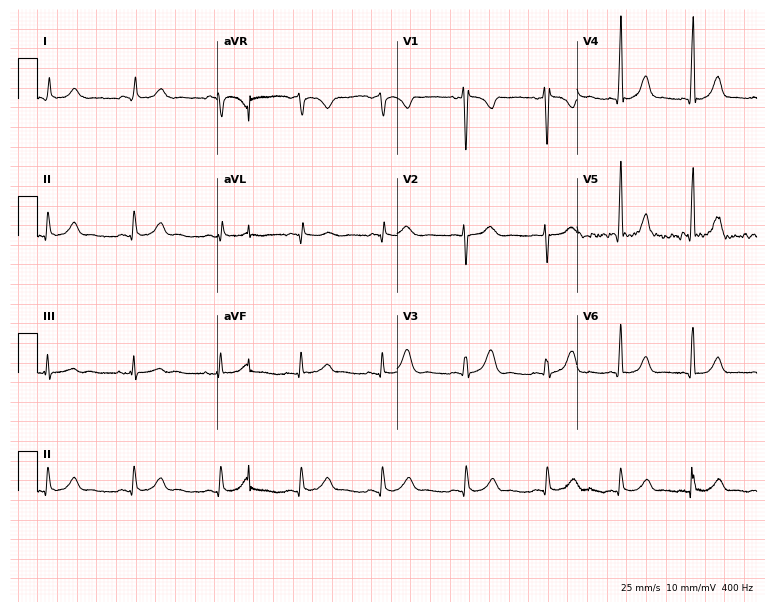
ECG — a 22-year-old female patient. Labelled as a normal ECG.